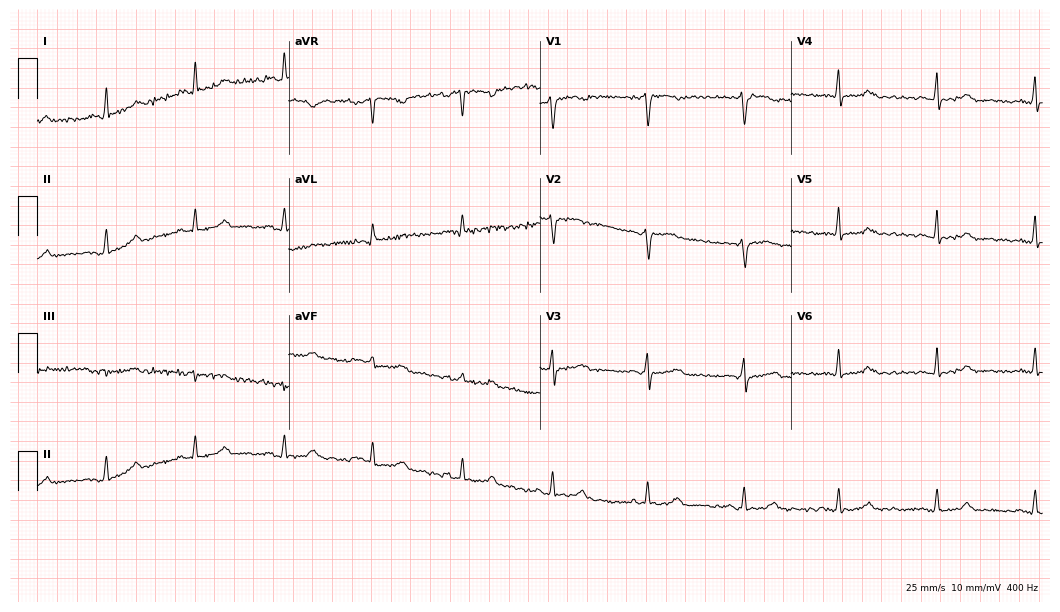
Standard 12-lead ECG recorded from a 49-year-old female (10.2-second recording at 400 Hz). Read as a normal ECG.